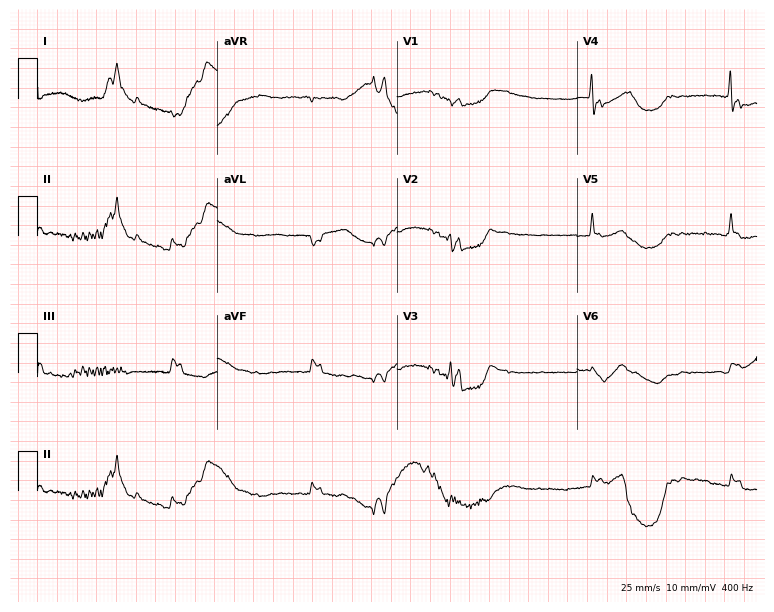
ECG (7.3-second recording at 400 Hz) — an 82-year-old male patient. Screened for six findings — first-degree AV block, right bundle branch block, left bundle branch block, sinus bradycardia, atrial fibrillation, sinus tachycardia — none is recorded. Findings outside these six are not listed.